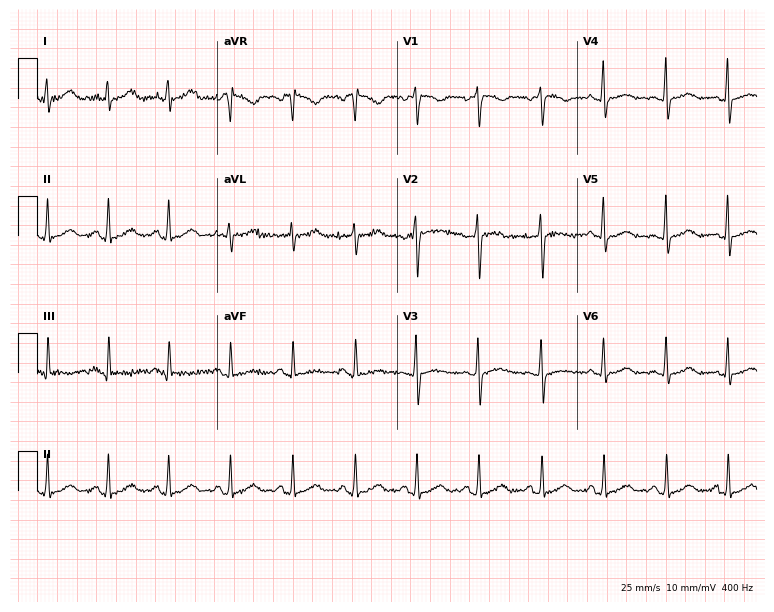
ECG (7.3-second recording at 400 Hz) — a 36-year-old female. Labelled as a normal ECG.